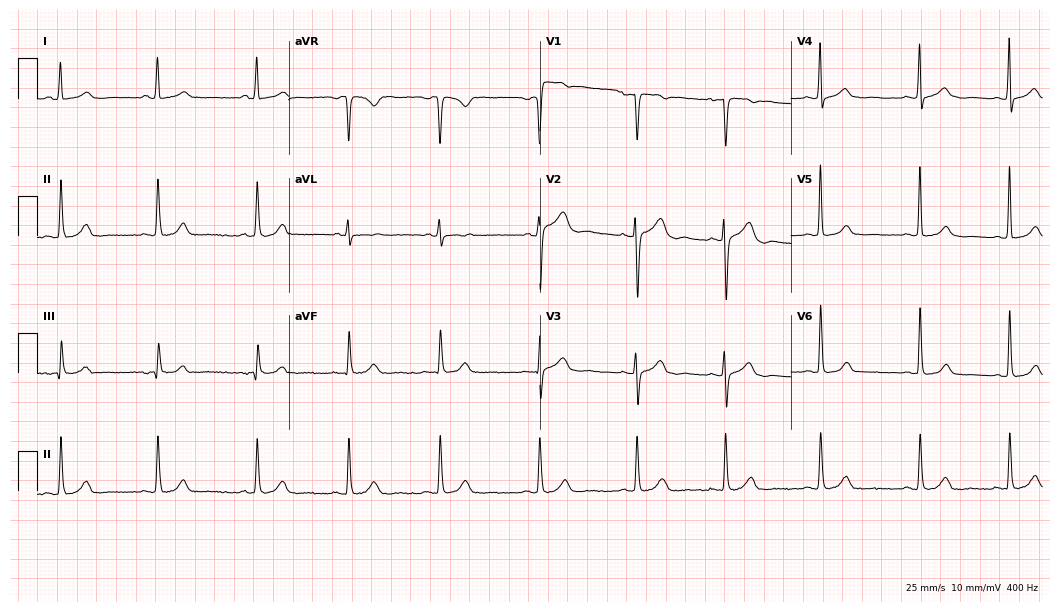
12-lead ECG from a female patient, 19 years old (10.2-second recording at 400 Hz). No first-degree AV block, right bundle branch block, left bundle branch block, sinus bradycardia, atrial fibrillation or sinus tachycardia recorded for this tracing.